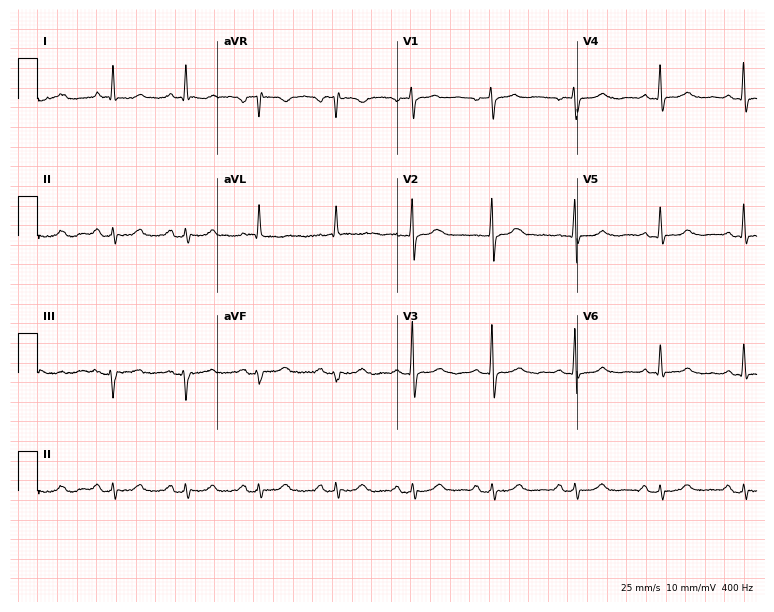
Standard 12-lead ECG recorded from a female patient, 52 years old (7.3-second recording at 400 Hz). None of these six findings is recorded: first-degree AV block, right bundle branch block, left bundle branch block, sinus bradycardia, atrial fibrillation, sinus tachycardia.